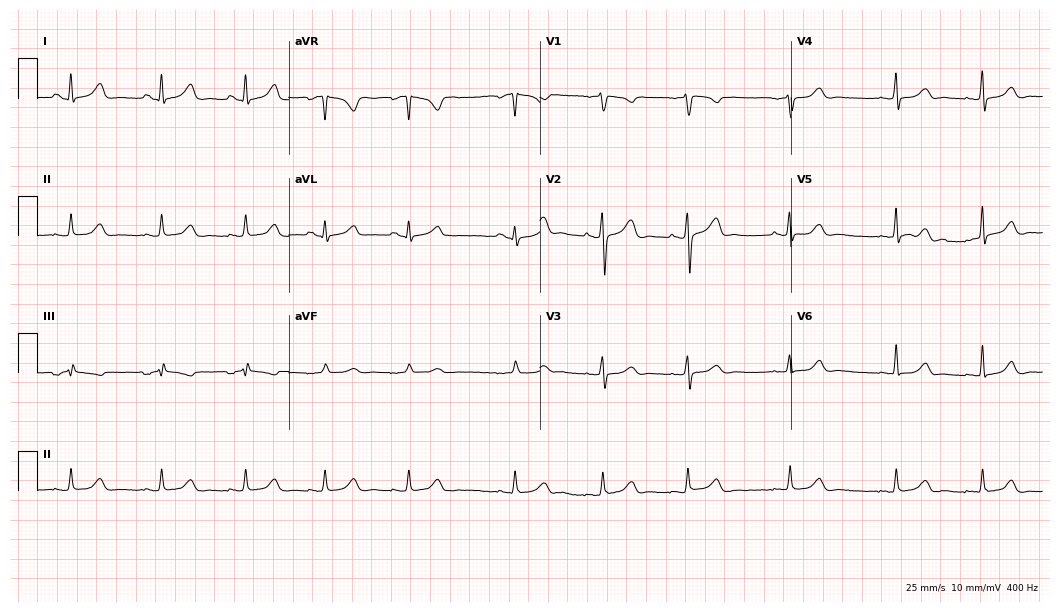
Standard 12-lead ECG recorded from a woman, 31 years old (10.2-second recording at 400 Hz). Read as a normal ECG.